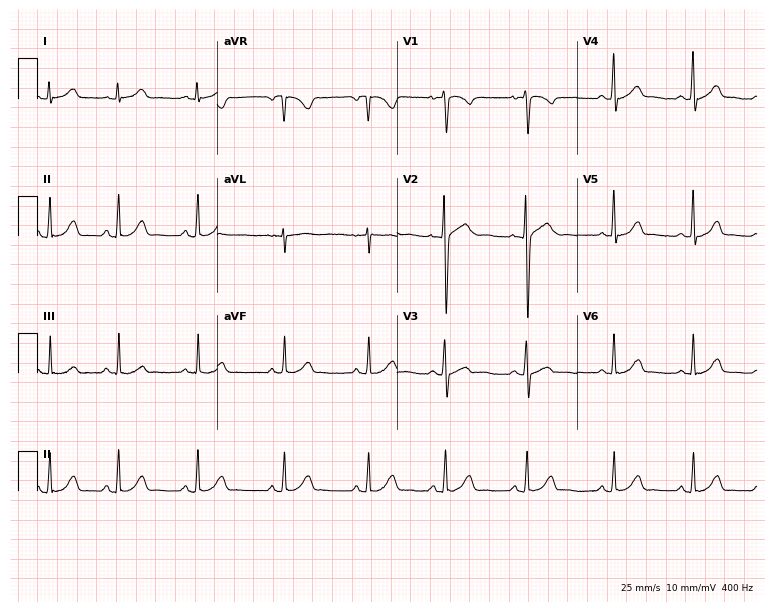
12-lead ECG (7.3-second recording at 400 Hz) from a 25-year-old female patient. Labelled as a normal ECG.